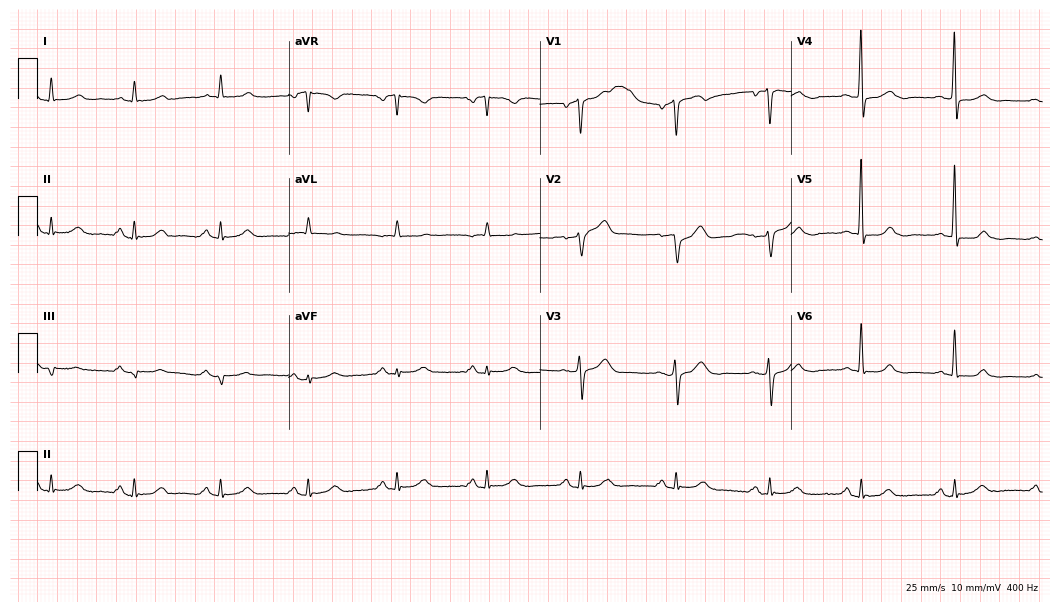
12-lead ECG (10.2-second recording at 400 Hz) from a male patient, 66 years old. Screened for six findings — first-degree AV block, right bundle branch block, left bundle branch block, sinus bradycardia, atrial fibrillation, sinus tachycardia — none is recorded. Other findings, if any, are not listed.